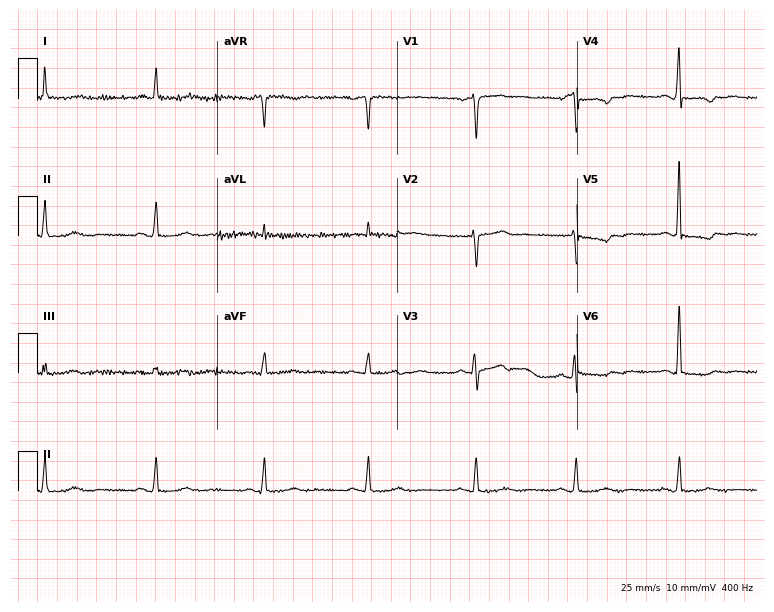
12-lead ECG (7.3-second recording at 400 Hz) from a woman, 62 years old. Screened for six findings — first-degree AV block, right bundle branch block, left bundle branch block, sinus bradycardia, atrial fibrillation, sinus tachycardia — none is recorded. Only these six findings were labelled.